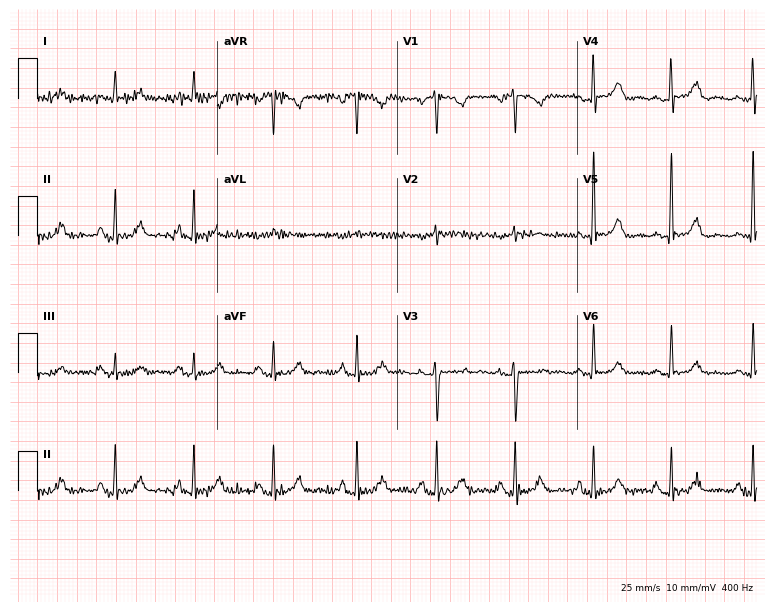
Electrocardiogram, a woman, 65 years old. Of the six screened findings (first-degree AV block, right bundle branch block, left bundle branch block, sinus bradycardia, atrial fibrillation, sinus tachycardia), none is recorded.